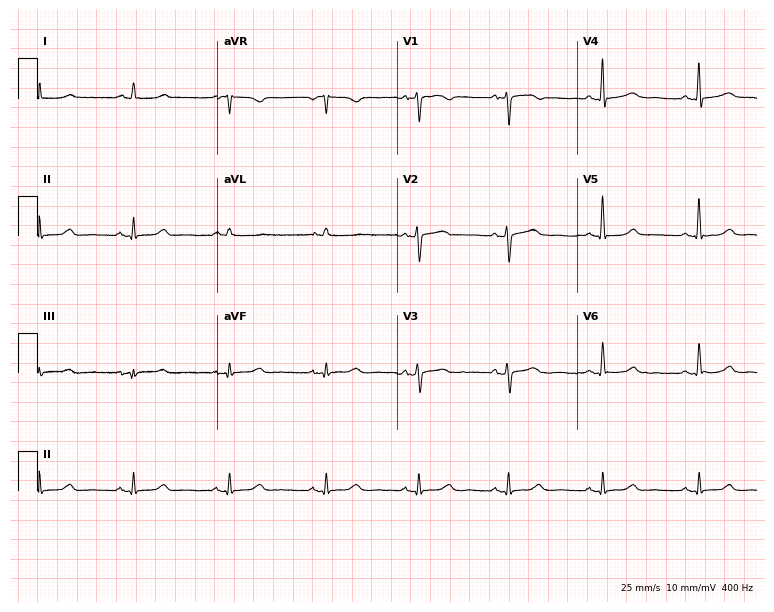
Electrocardiogram, a 48-year-old female patient. Overall reading on record: normal ECG.